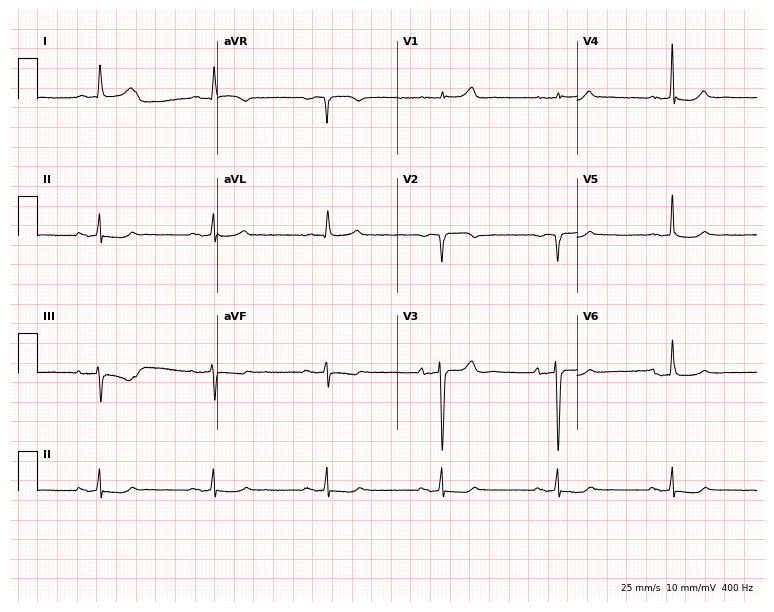
Resting 12-lead electrocardiogram (7.3-second recording at 400 Hz). Patient: a woman, 80 years old. None of these six findings is recorded: first-degree AV block, right bundle branch block, left bundle branch block, sinus bradycardia, atrial fibrillation, sinus tachycardia.